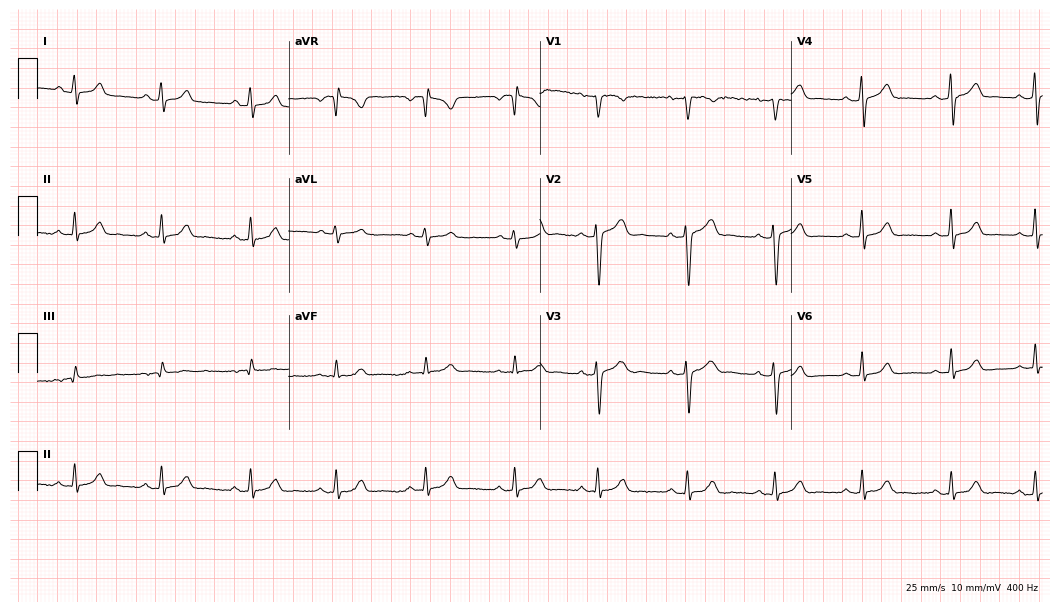
12-lead ECG from a female, 24 years old (10.2-second recording at 400 Hz). Recorded interpretation: within normal limits.